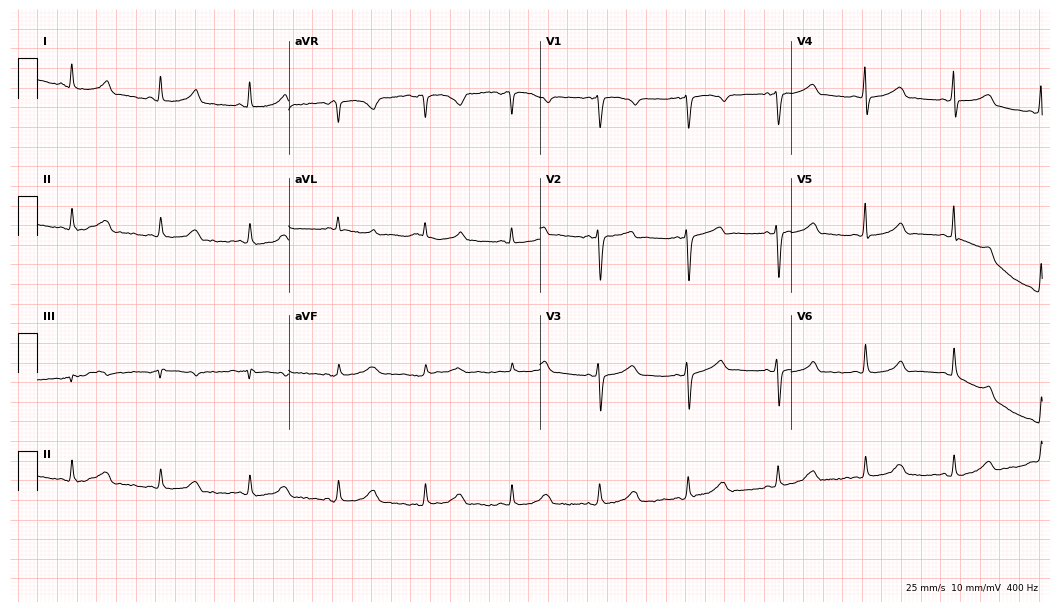
12-lead ECG (10.2-second recording at 400 Hz) from a 47-year-old female. Labelled as a normal ECG.